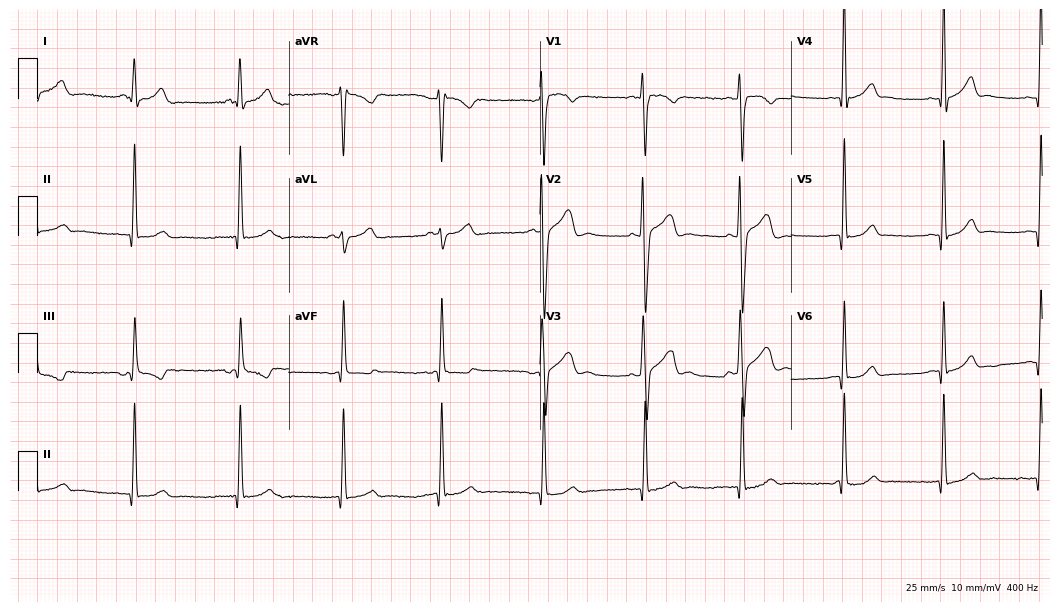
12-lead ECG (10.2-second recording at 400 Hz) from a male, 24 years old. Screened for six findings — first-degree AV block, right bundle branch block (RBBB), left bundle branch block (LBBB), sinus bradycardia, atrial fibrillation (AF), sinus tachycardia — none is recorded. Findings outside these six are not listed.